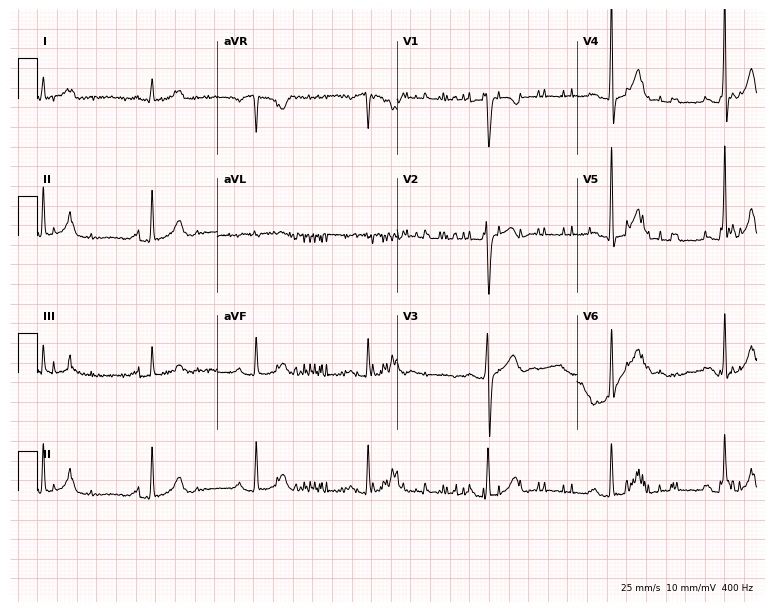
Resting 12-lead electrocardiogram. Patient: a male, 22 years old. Read as a normal ECG.